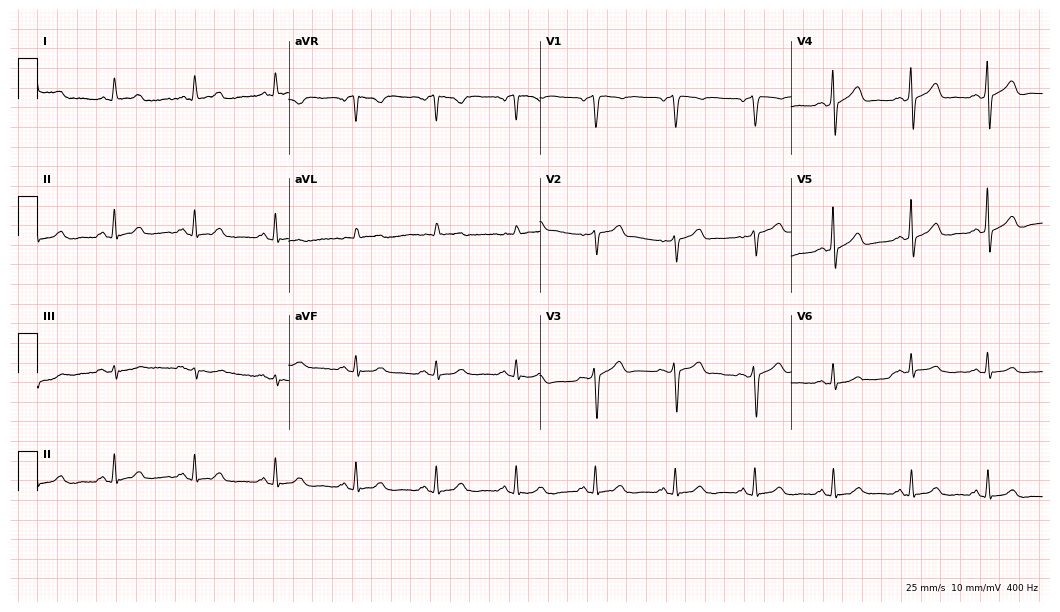
12-lead ECG from a 67-year-old man. Recorded interpretation: within normal limits.